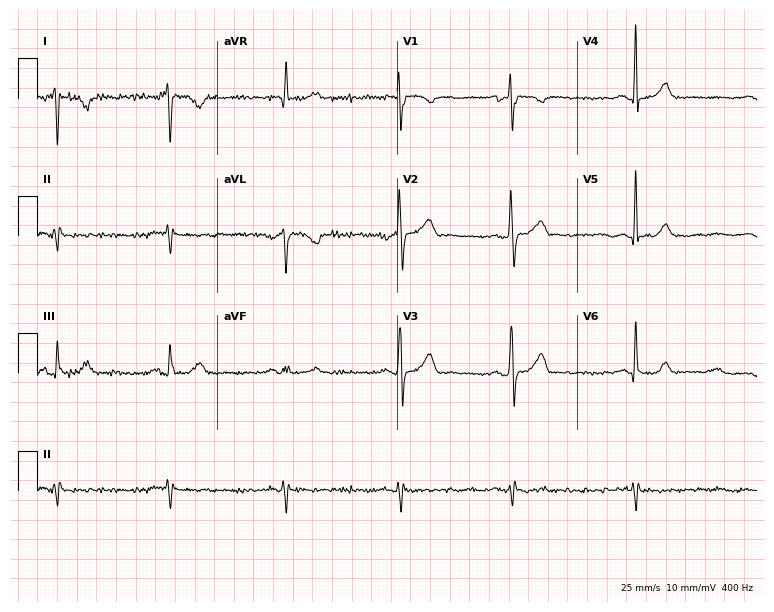
Standard 12-lead ECG recorded from a 63-year-old male. None of these six findings is recorded: first-degree AV block, right bundle branch block (RBBB), left bundle branch block (LBBB), sinus bradycardia, atrial fibrillation (AF), sinus tachycardia.